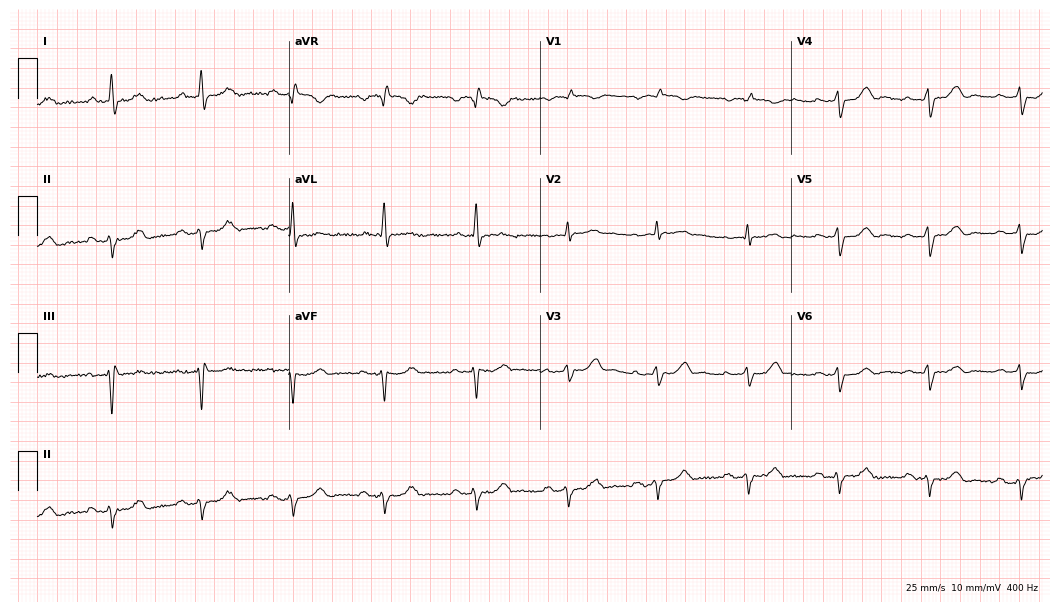
Standard 12-lead ECG recorded from a 65-year-old woman (10.2-second recording at 400 Hz). None of these six findings is recorded: first-degree AV block, right bundle branch block, left bundle branch block, sinus bradycardia, atrial fibrillation, sinus tachycardia. Other findings, if any, are not listed.